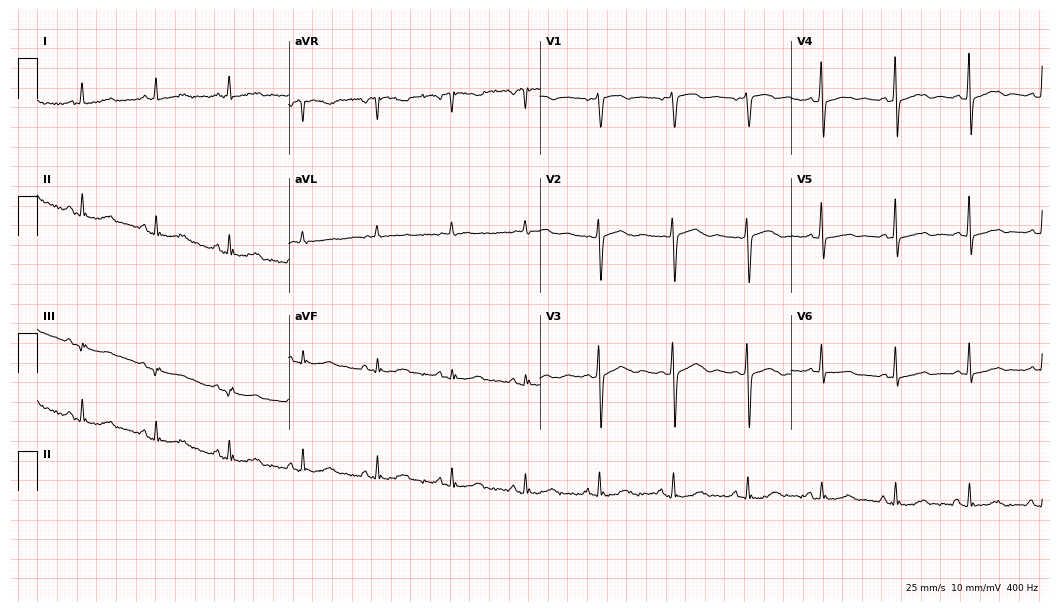
Electrocardiogram, a 70-year-old woman. Of the six screened findings (first-degree AV block, right bundle branch block (RBBB), left bundle branch block (LBBB), sinus bradycardia, atrial fibrillation (AF), sinus tachycardia), none is recorded. Only these six findings were labelled.